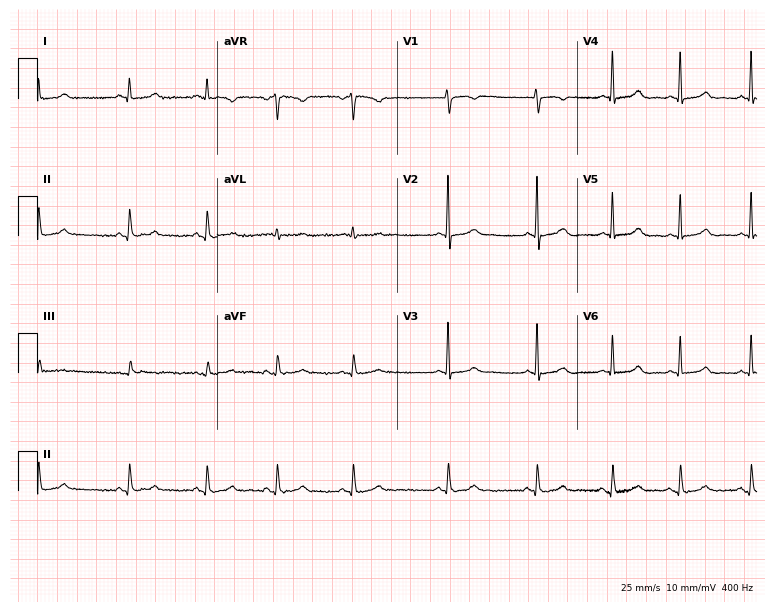
ECG (7.3-second recording at 400 Hz) — a 26-year-old woman. Labelled as a normal ECG.